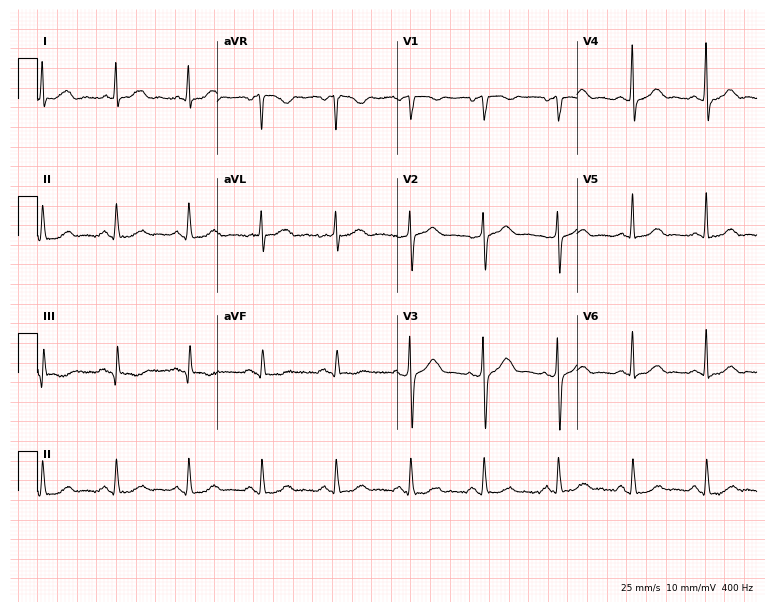
12-lead ECG from a 64-year-old female. Recorded interpretation: within normal limits.